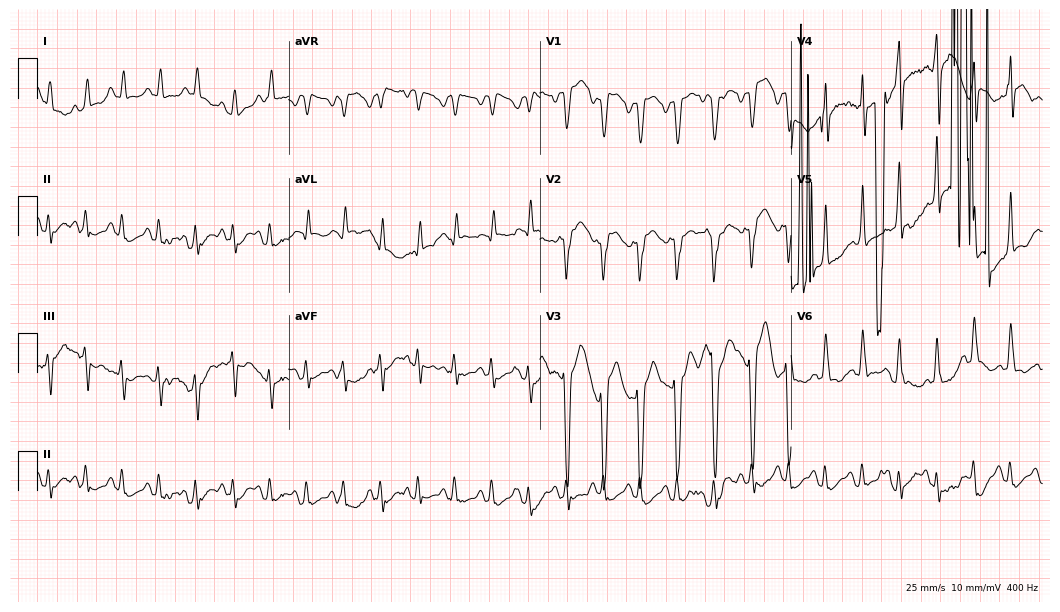
ECG — a 61-year-old male. Screened for six findings — first-degree AV block, right bundle branch block, left bundle branch block, sinus bradycardia, atrial fibrillation, sinus tachycardia — none is recorded. Findings outside these six are not listed.